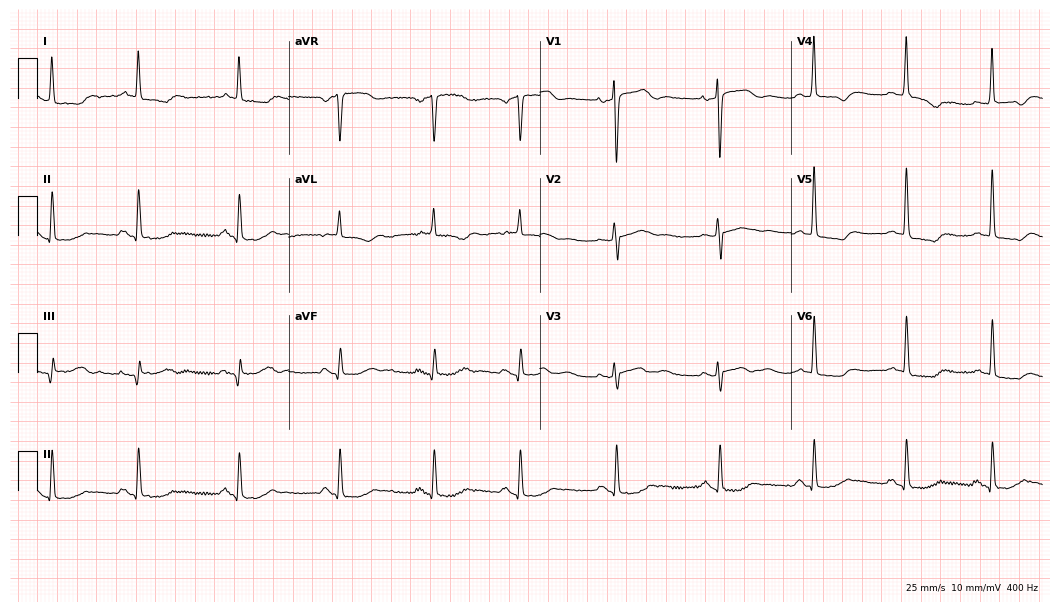
Standard 12-lead ECG recorded from an 84-year-old female patient (10.2-second recording at 400 Hz). None of these six findings is recorded: first-degree AV block, right bundle branch block, left bundle branch block, sinus bradycardia, atrial fibrillation, sinus tachycardia. Findings outside these six are not listed.